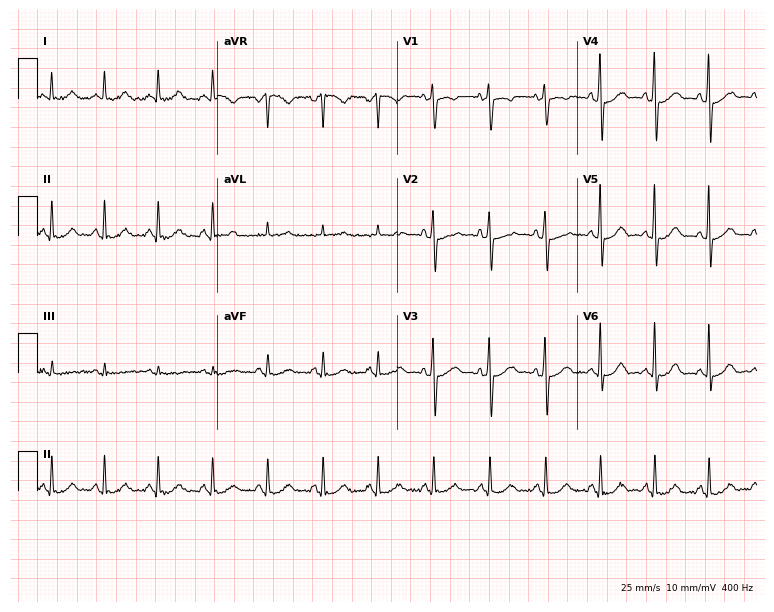
12-lead ECG from a 44-year-old woman. No first-degree AV block, right bundle branch block (RBBB), left bundle branch block (LBBB), sinus bradycardia, atrial fibrillation (AF) or sinus tachycardia recorded for this tracing.